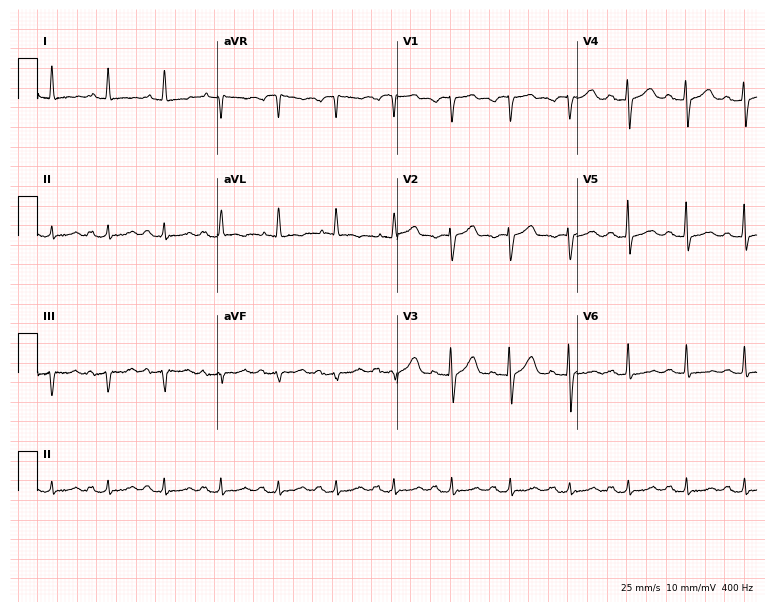
ECG (7.3-second recording at 400 Hz) — an 86-year-old male. Findings include sinus tachycardia (a sinus rate of 100 beats per minute or more).